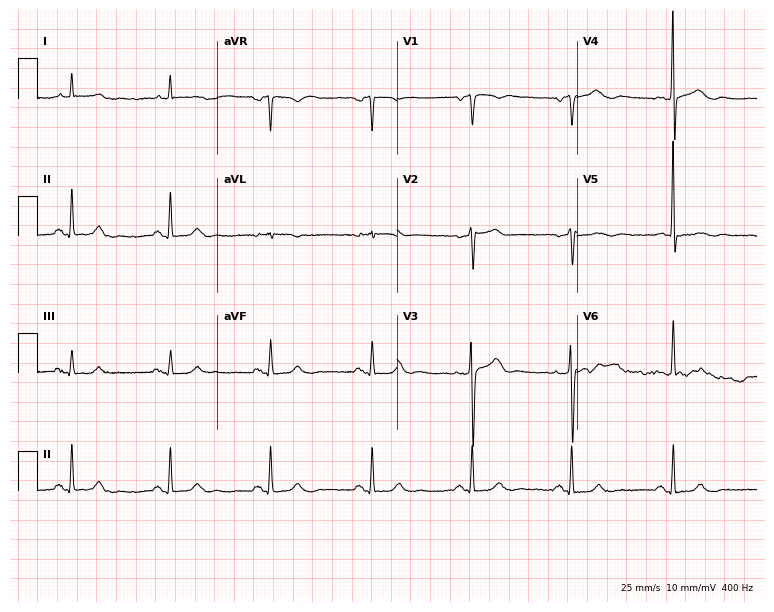
Electrocardiogram (7.3-second recording at 400 Hz), a 78-year-old male. Of the six screened findings (first-degree AV block, right bundle branch block (RBBB), left bundle branch block (LBBB), sinus bradycardia, atrial fibrillation (AF), sinus tachycardia), none is recorded.